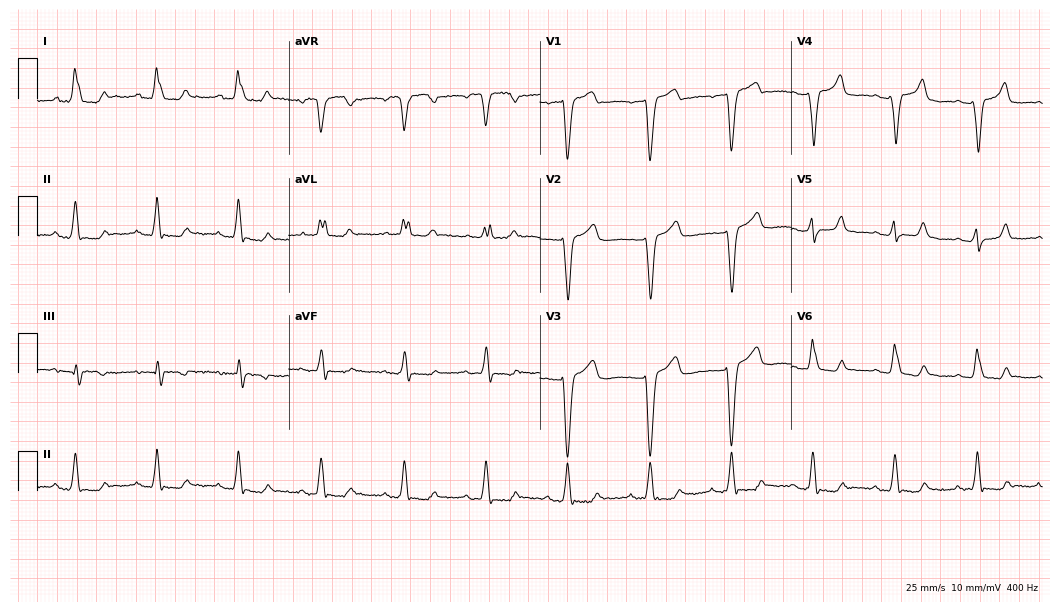
12-lead ECG (10.2-second recording at 400 Hz) from a female patient, 77 years old. Screened for six findings — first-degree AV block, right bundle branch block, left bundle branch block, sinus bradycardia, atrial fibrillation, sinus tachycardia — none is recorded. Findings outside these six are not listed.